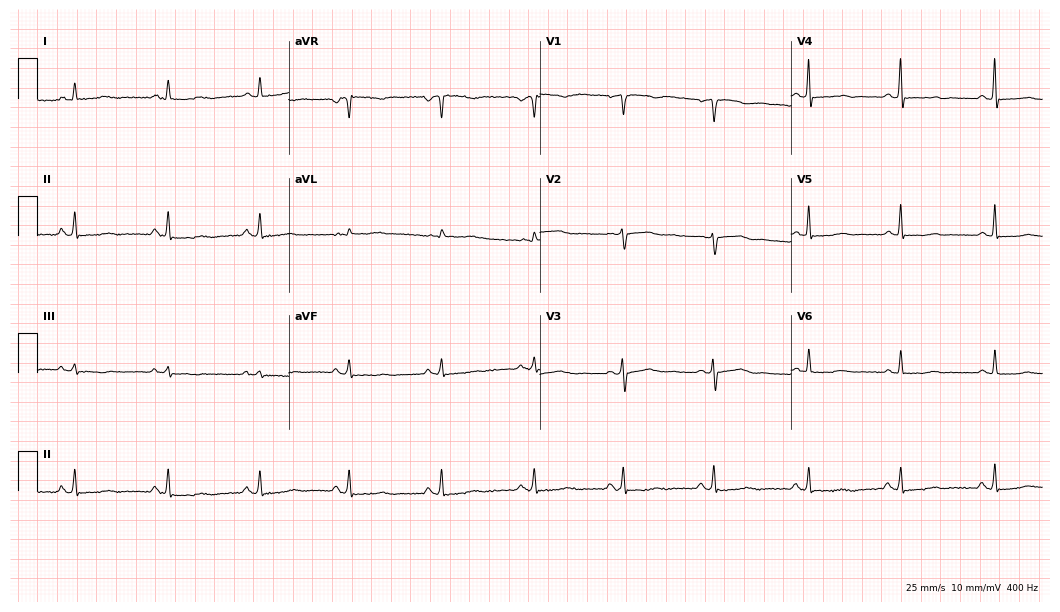
ECG (10.2-second recording at 400 Hz) — a 58-year-old woman. Screened for six findings — first-degree AV block, right bundle branch block, left bundle branch block, sinus bradycardia, atrial fibrillation, sinus tachycardia — none is recorded. Only these six findings were labelled.